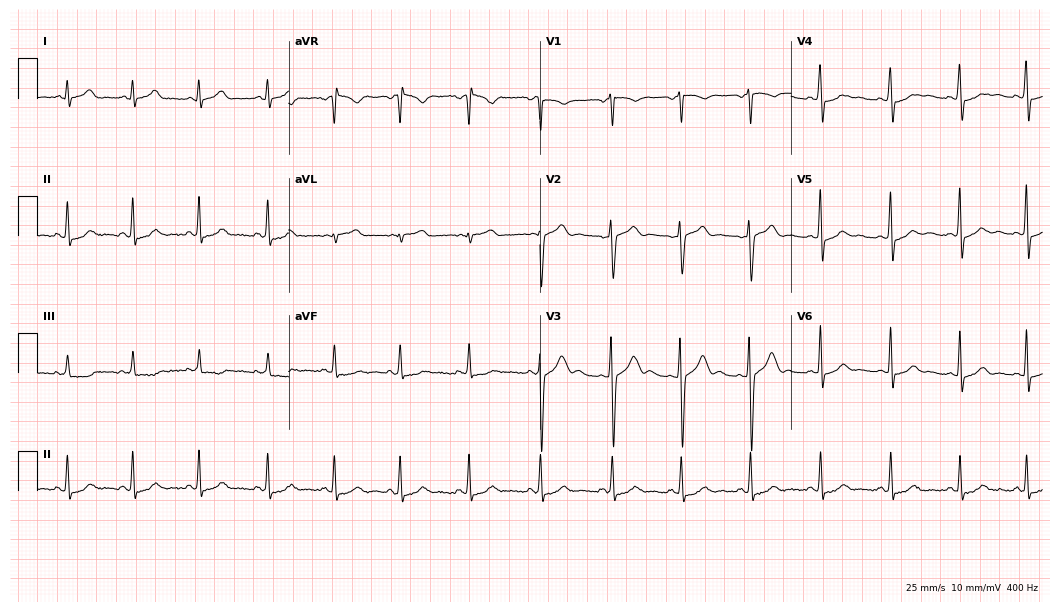
Standard 12-lead ECG recorded from a 23-year-old woman. None of these six findings is recorded: first-degree AV block, right bundle branch block (RBBB), left bundle branch block (LBBB), sinus bradycardia, atrial fibrillation (AF), sinus tachycardia. Only these six findings were labelled.